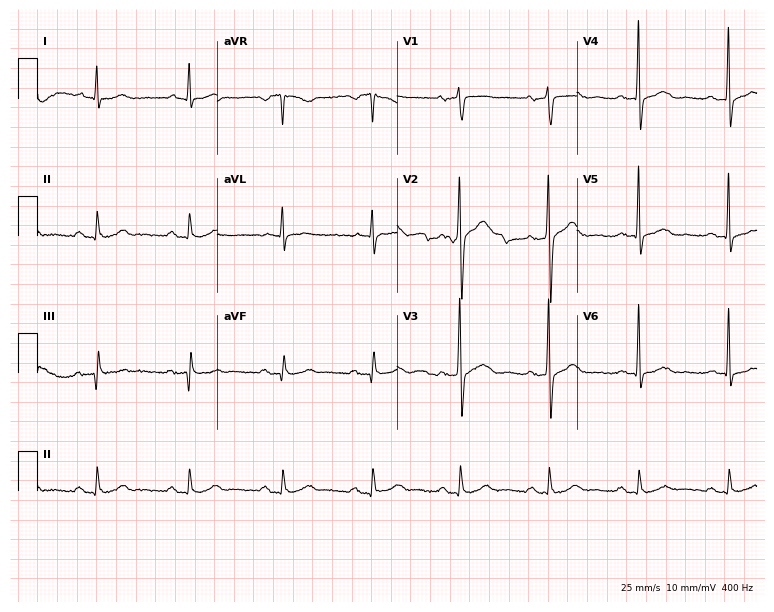
12-lead ECG (7.3-second recording at 400 Hz) from a 64-year-old man. Screened for six findings — first-degree AV block, right bundle branch block, left bundle branch block, sinus bradycardia, atrial fibrillation, sinus tachycardia — none is recorded.